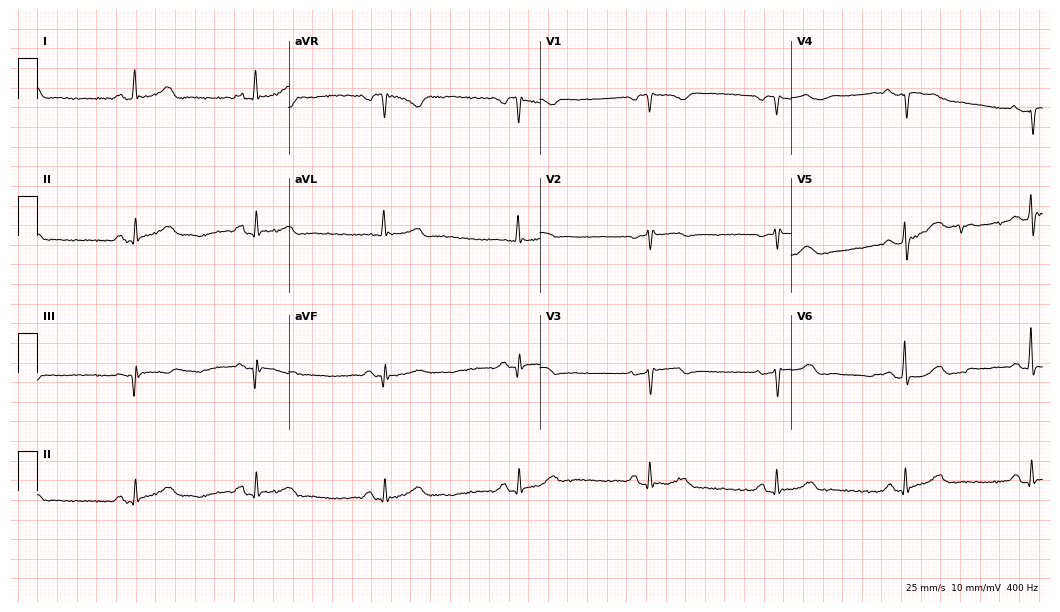
Electrocardiogram (10.2-second recording at 400 Hz), a woman, 58 years old. Interpretation includes sinus bradycardia (a sinus rate of 50 beats per minute or less).